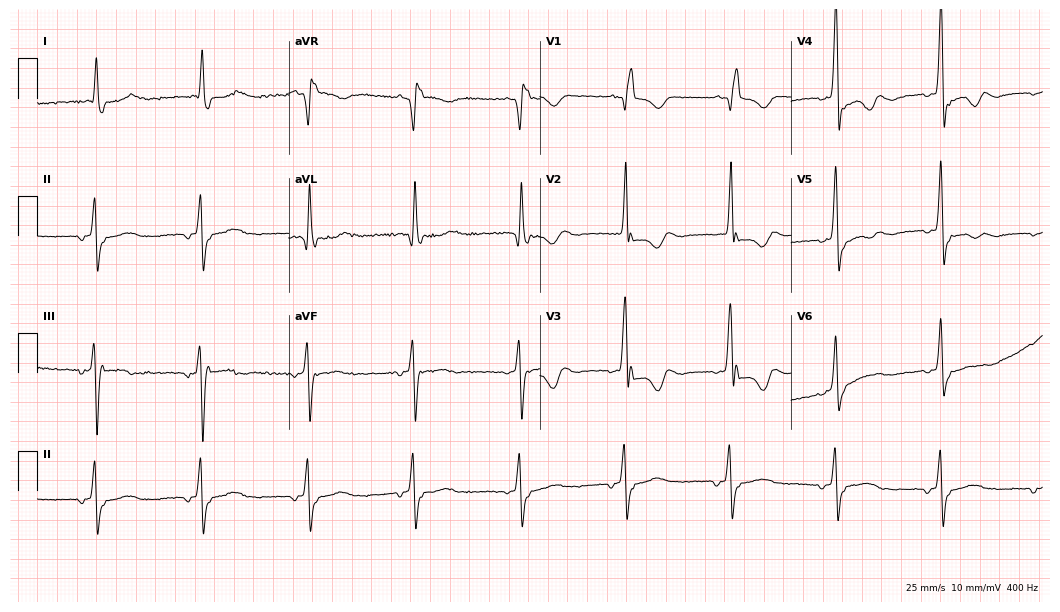
Electrocardiogram, an 85-year-old female. Interpretation includes right bundle branch block.